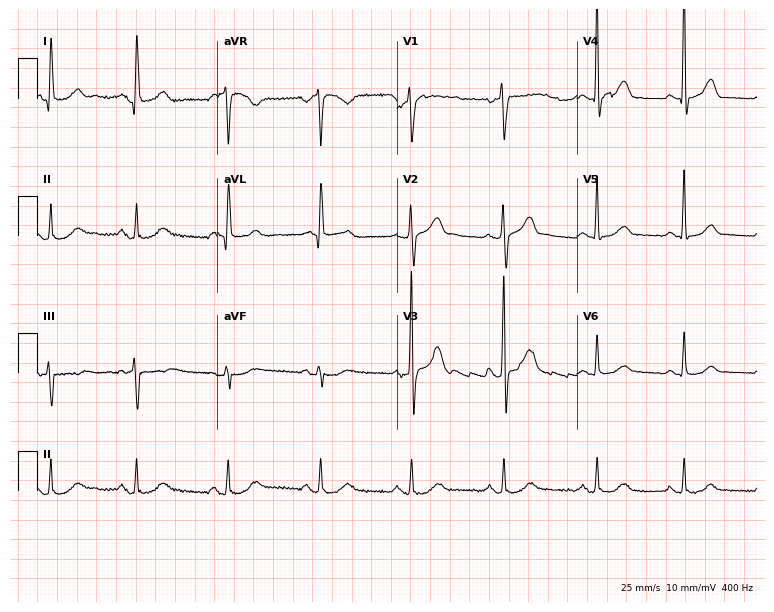
Resting 12-lead electrocardiogram. Patient: a 55-year-old male. None of these six findings is recorded: first-degree AV block, right bundle branch block (RBBB), left bundle branch block (LBBB), sinus bradycardia, atrial fibrillation (AF), sinus tachycardia.